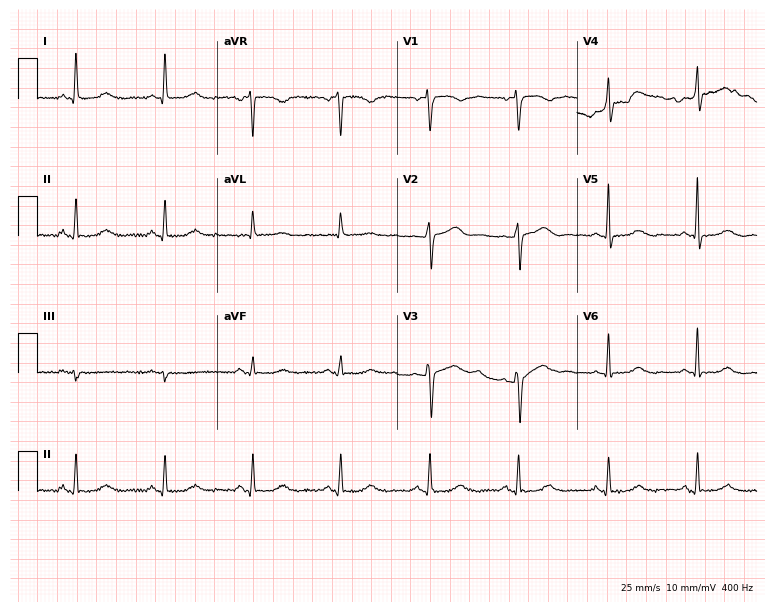
ECG (7.3-second recording at 400 Hz) — a 65-year-old female. Screened for six findings — first-degree AV block, right bundle branch block, left bundle branch block, sinus bradycardia, atrial fibrillation, sinus tachycardia — none is recorded.